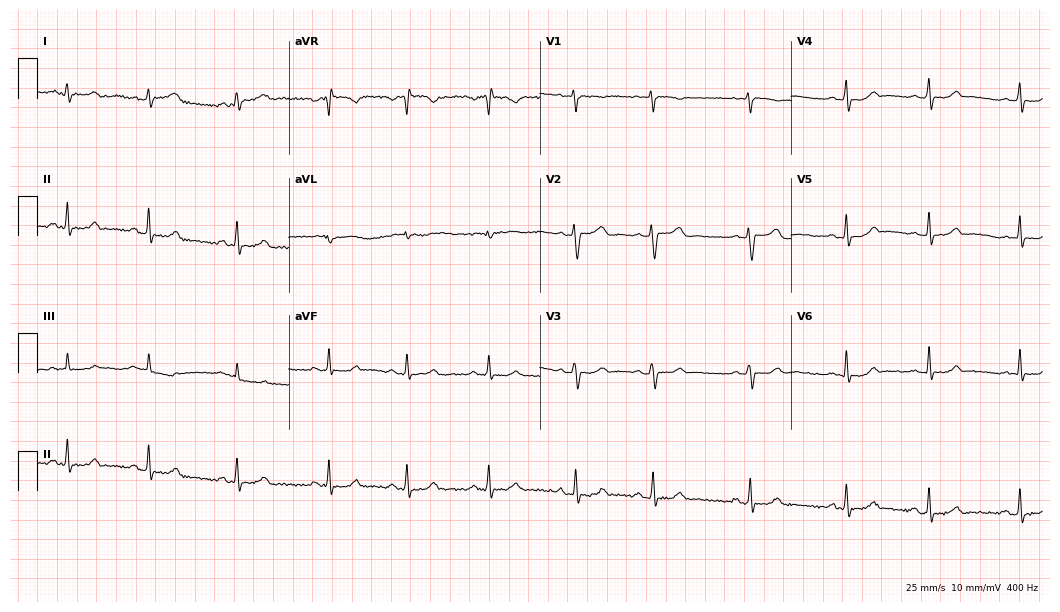
Resting 12-lead electrocardiogram. Patient: a 17-year-old female. Read as a normal ECG.